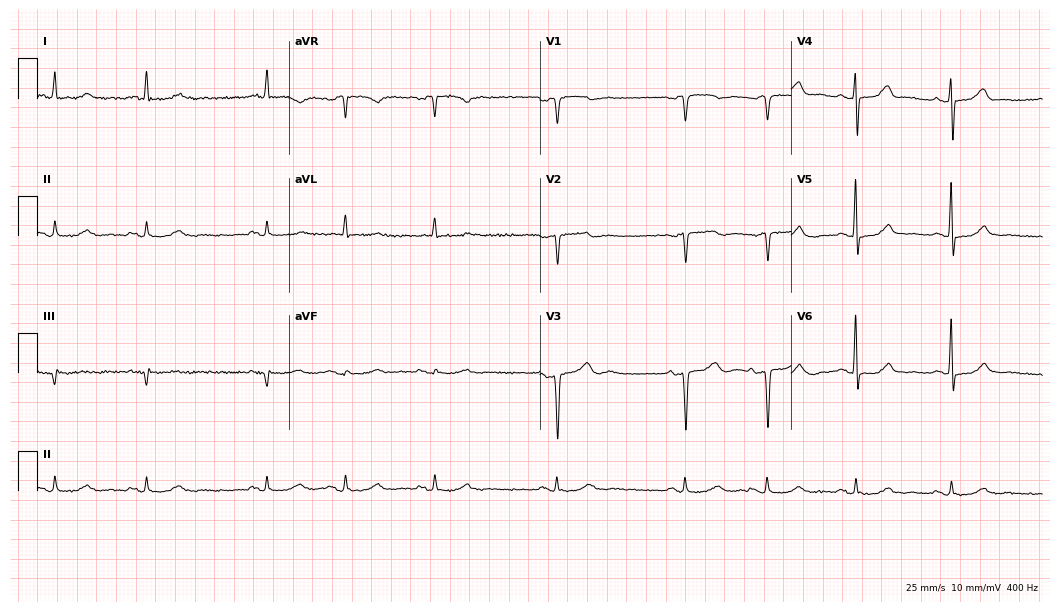
Electrocardiogram, a 71-year-old male. Of the six screened findings (first-degree AV block, right bundle branch block (RBBB), left bundle branch block (LBBB), sinus bradycardia, atrial fibrillation (AF), sinus tachycardia), none is recorded.